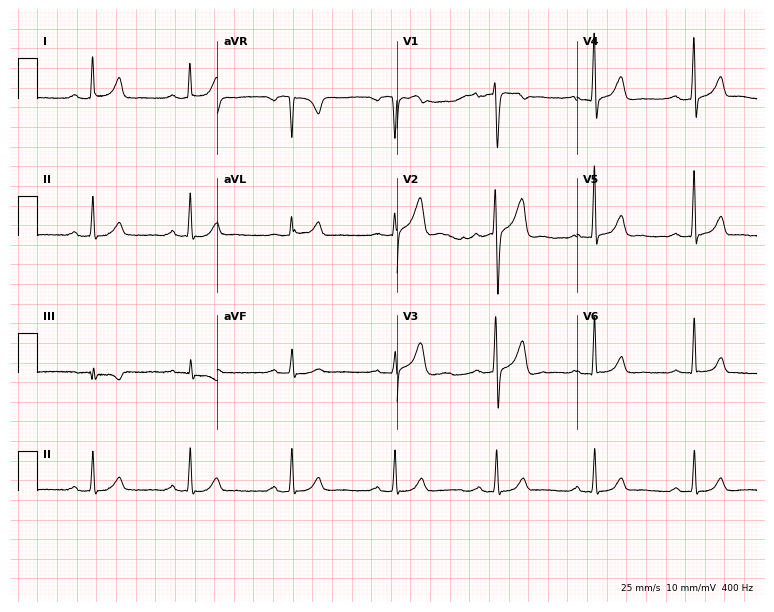
12-lead ECG (7.3-second recording at 400 Hz) from a male patient, 61 years old. Labelled as a normal ECG.